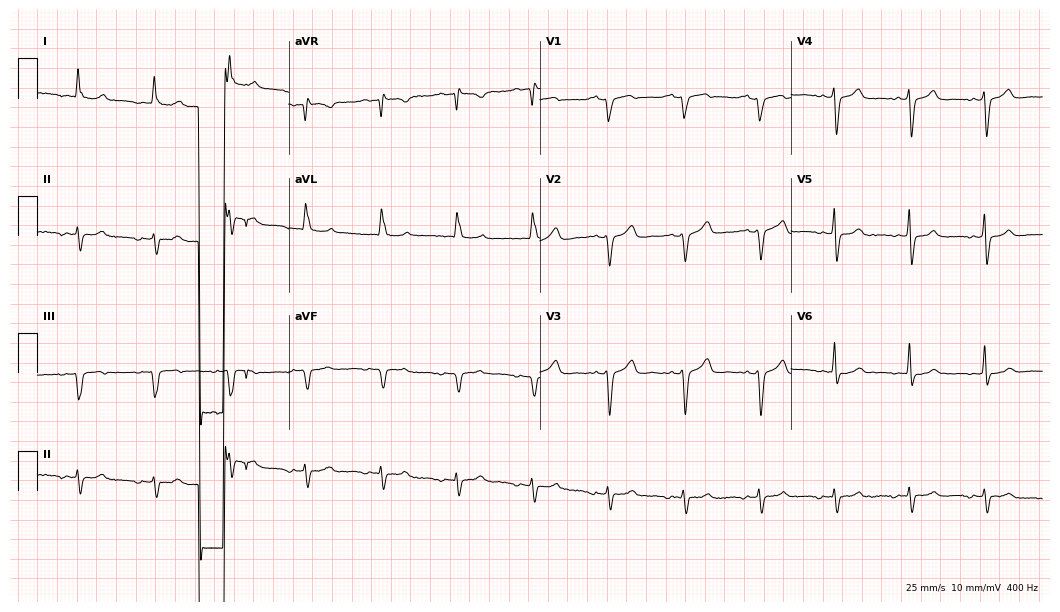
Electrocardiogram (10.2-second recording at 400 Hz), an 83-year-old man. Of the six screened findings (first-degree AV block, right bundle branch block, left bundle branch block, sinus bradycardia, atrial fibrillation, sinus tachycardia), none is recorded.